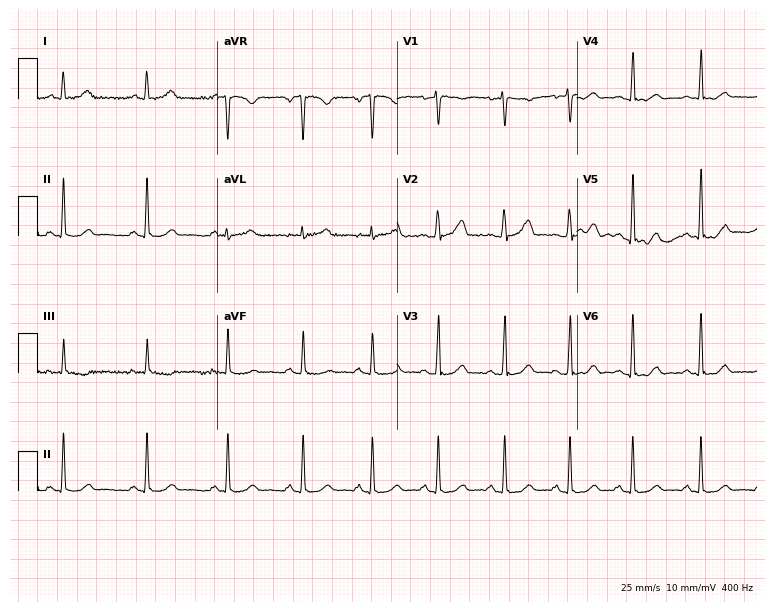
Standard 12-lead ECG recorded from a 35-year-old female. Read as a normal ECG.